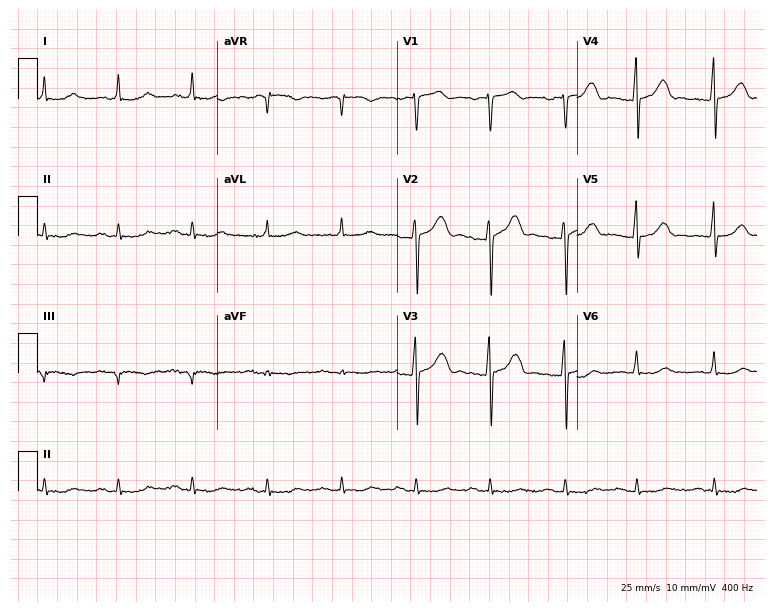
Resting 12-lead electrocardiogram. Patient: a male, 75 years old. None of these six findings is recorded: first-degree AV block, right bundle branch block, left bundle branch block, sinus bradycardia, atrial fibrillation, sinus tachycardia. Other findings, if any, are not listed.